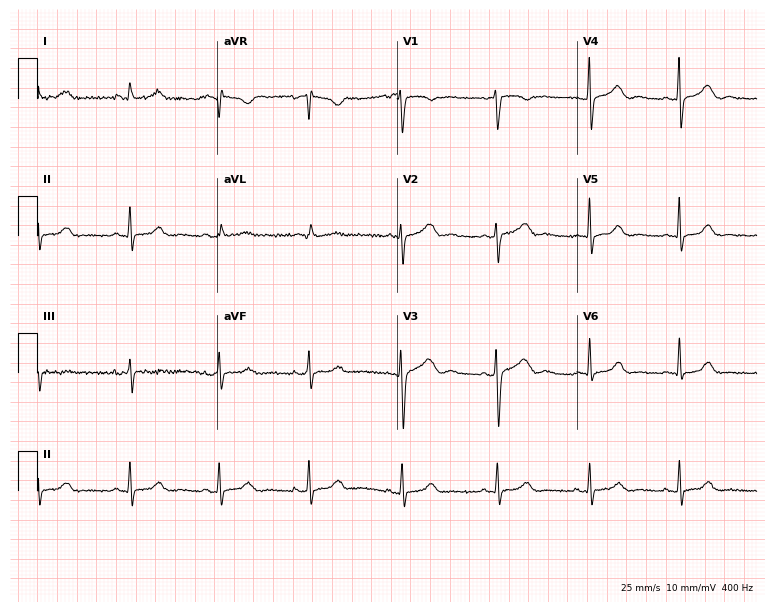
Resting 12-lead electrocardiogram (7.3-second recording at 400 Hz). Patient: a female, 44 years old. Read as a normal ECG.